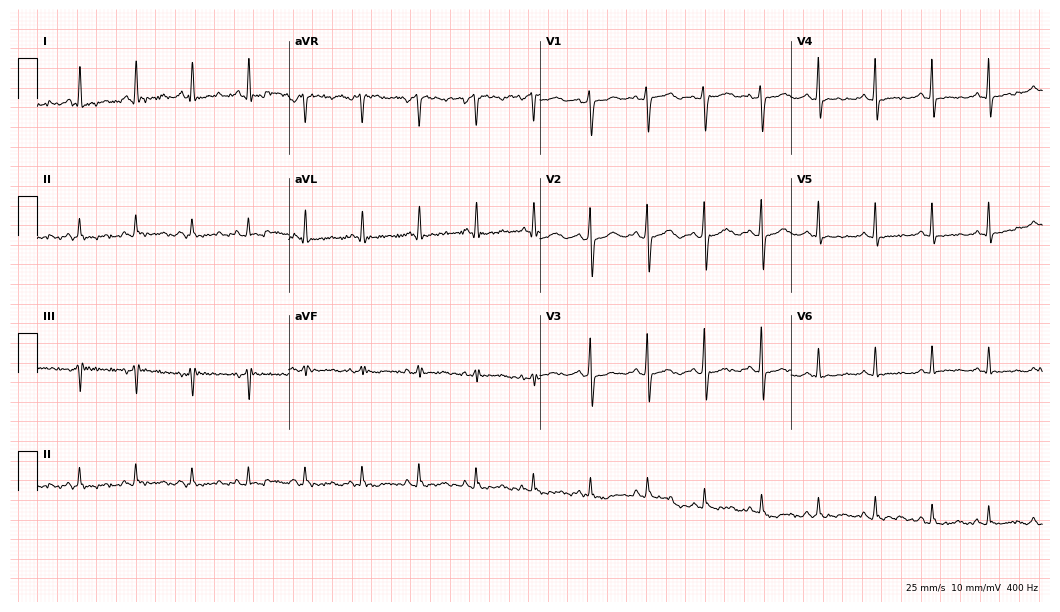
12-lead ECG (10.2-second recording at 400 Hz) from a 57-year-old female. Screened for six findings — first-degree AV block, right bundle branch block, left bundle branch block, sinus bradycardia, atrial fibrillation, sinus tachycardia — none is recorded. Other findings, if any, are not listed.